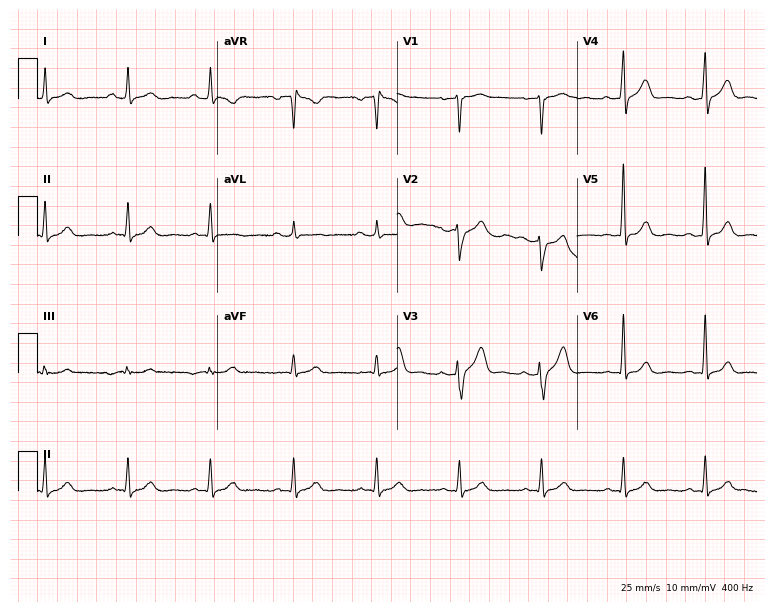
Electrocardiogram (7.3-second recording at 400 Hz), a 55-year-old male. Overall reading on record: normal ECG.